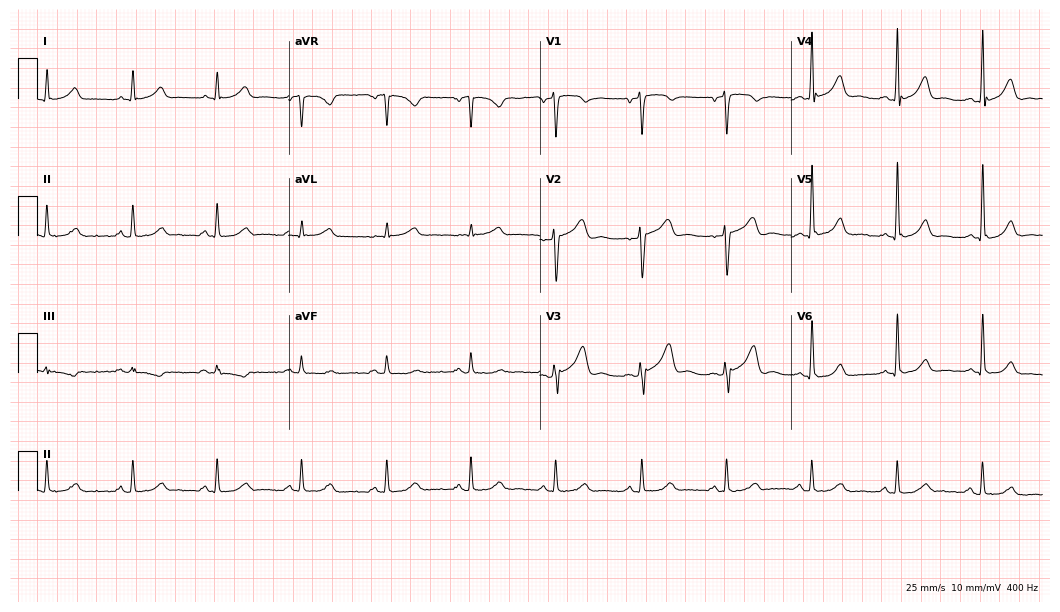
Resting 12-lead electrocardiogram (10.2-second recording at 400 Hz). Patient: a 58-year-old male. Read as a normal ECG.